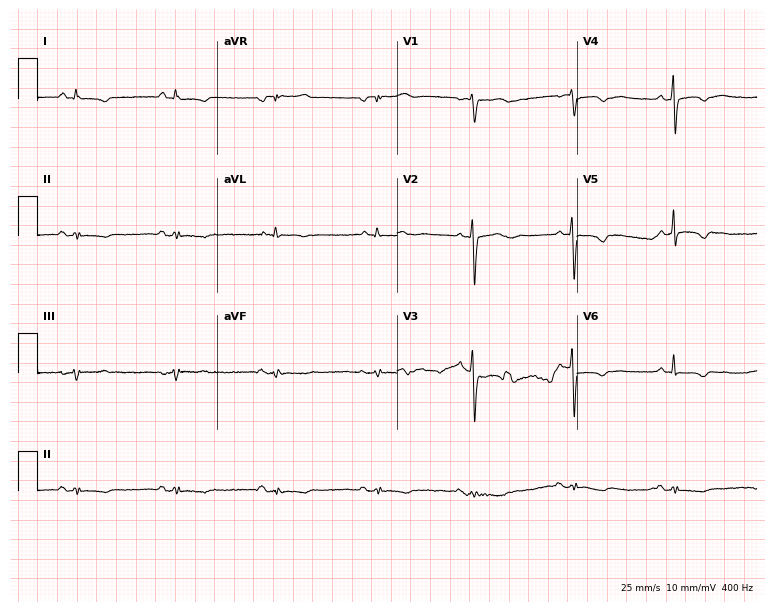
Resting 12-lead electrocardiogram. Patient: a male, 85 years old. None of these six findings is recorded: first-degree AV block, right bundle branch block, left bundle branch block, sinus bradycardia, atrial fibrillation, sinus tachycardia.